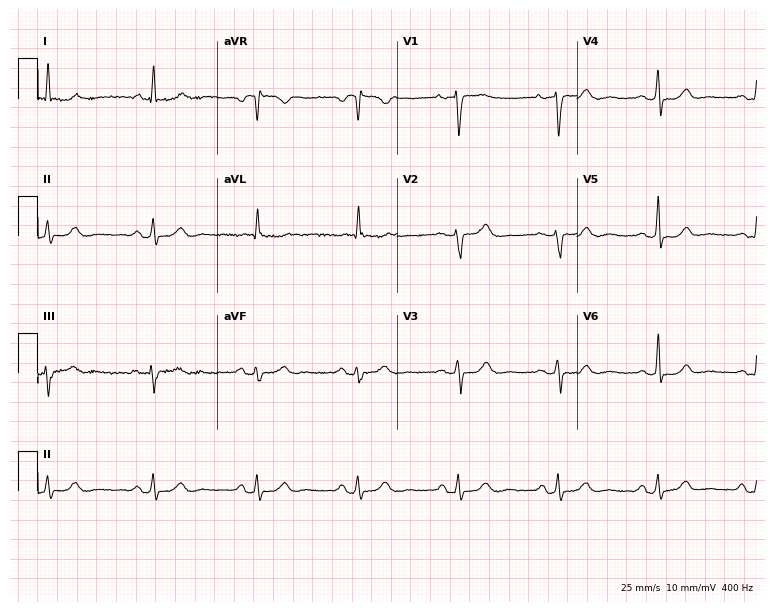
Resting 12-lead electrocardiogram. Patient: a 67-year-old female. Read as a normal ECG.